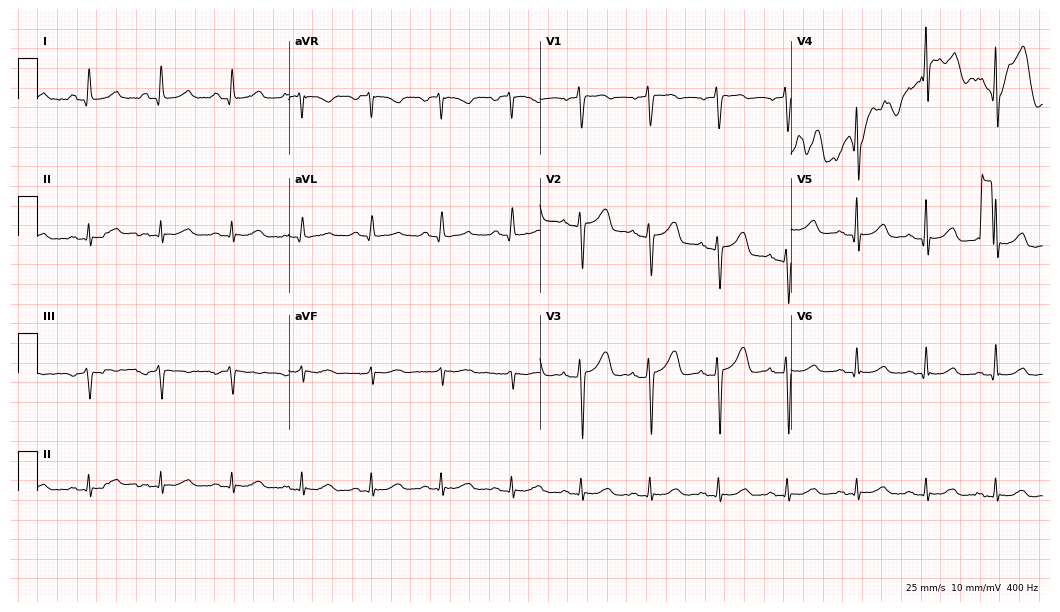
Electrocardiogram (10.2-second recording at 400 Hz), a 66-year-old female. Of the six screened findings (first-degree AV block, right bundle branch block, left bundle branch block, sinus bradycardia, atrial fibrillation, sinus tachycardia), none is recorded. Other findings, if any, are not listed.